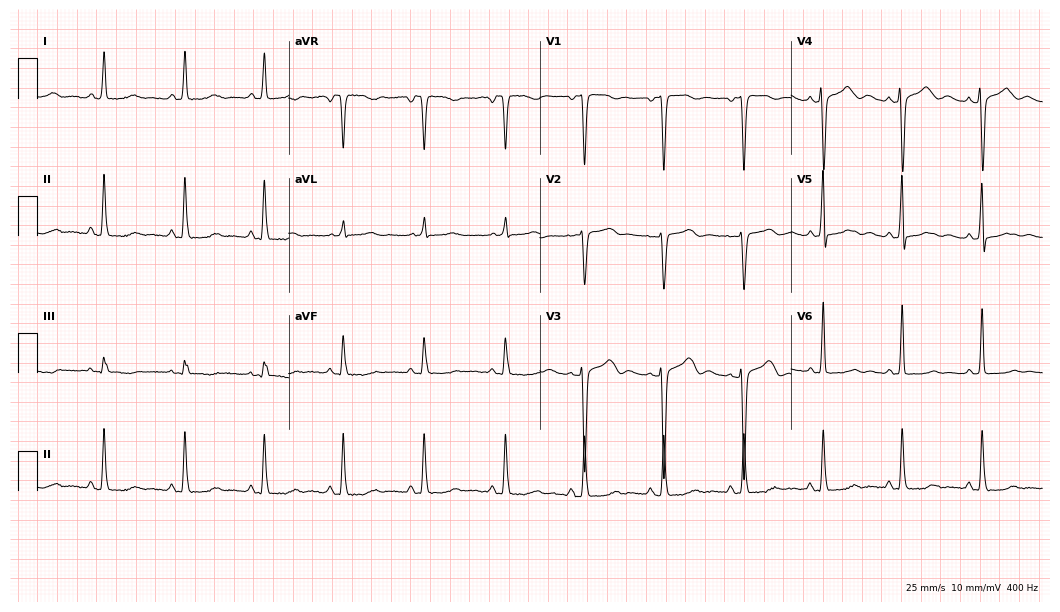
ECG (10.2-second recording at 400 Hz) — a 50-year-old female. Screened for six findings — first-degree AV block, right bundle branch block (RBBB), left bundle branch block (LBBB), sinus bradycardia, atrial fibrillation (AF), sinus tachycardia — none is recorded. Findings outside these six are not listed.